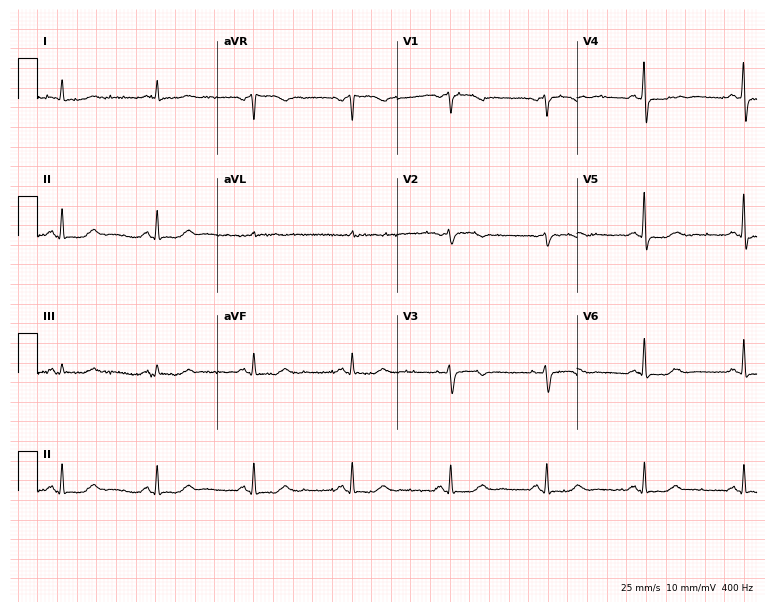
Resting 12-lead electrocardiogram. Patient: a woman, 73 years old. None of these six findings is recorded: first-degree AV block, right bundle branch block, left bundle branch block, sinus bradycardia, atrial fibrillation, sinus tachycardia.